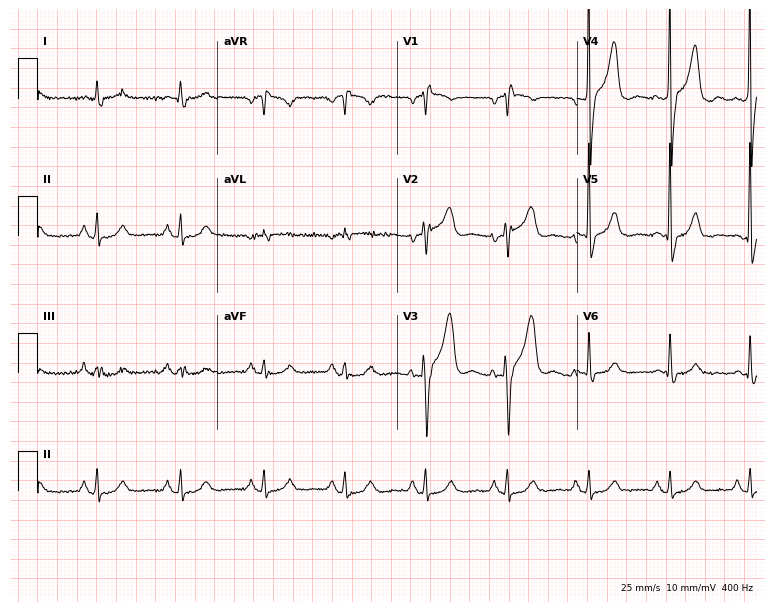
12-lead ECG (7.3-second recording at 400 Hz) from a man, 74 years old. Screened for six findings — first-degree AV block, right bundle branch block, left bundle branch block, sinus bradycardia, atrial fibrillation, sinus tachycardia — none is recorded.